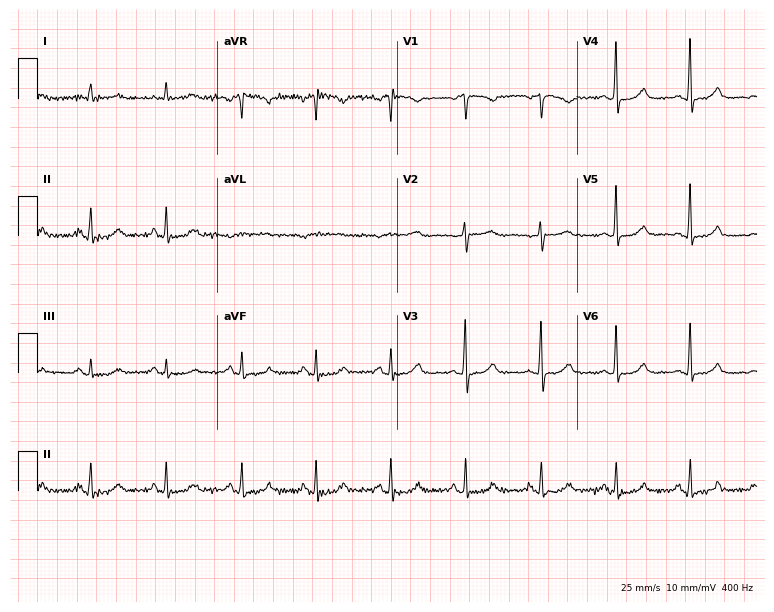
Electrocardiogram (7.3-second recording at 400 Hz), a female, 68 years old. Of the six screened findings (first-degree AV block, right bundle branch block, left bundle branch block, sinus bradycardia, atrial fibrillation, sinus tachycardia), none is recorded. Only these six findings were labelled.